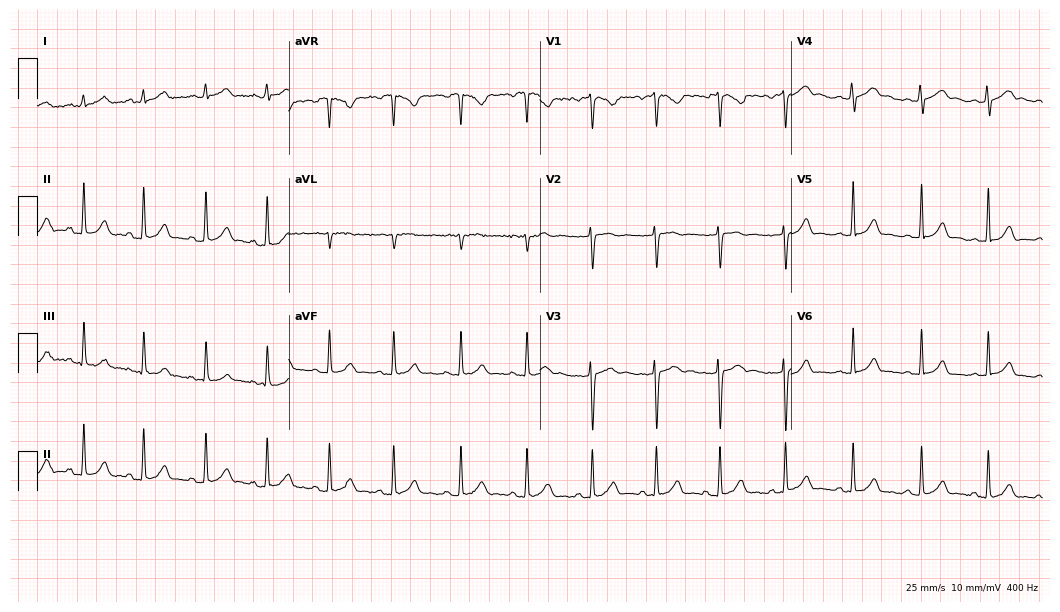
Electrocardiogram, a 23-year-old female. Overall reading on record: normal ECG.